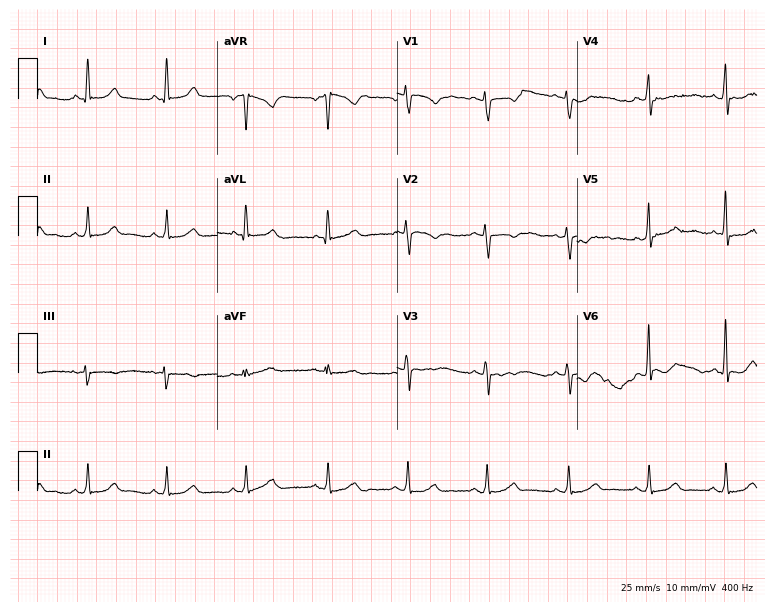
Electrocardiogram, a female, 36 years old. Of the six screened findings (first-degree AV block, right bundle branch block, left bundle branch block, sinus bradycardia, atrial fibrillation, sinus tachycardia), none is recorded.